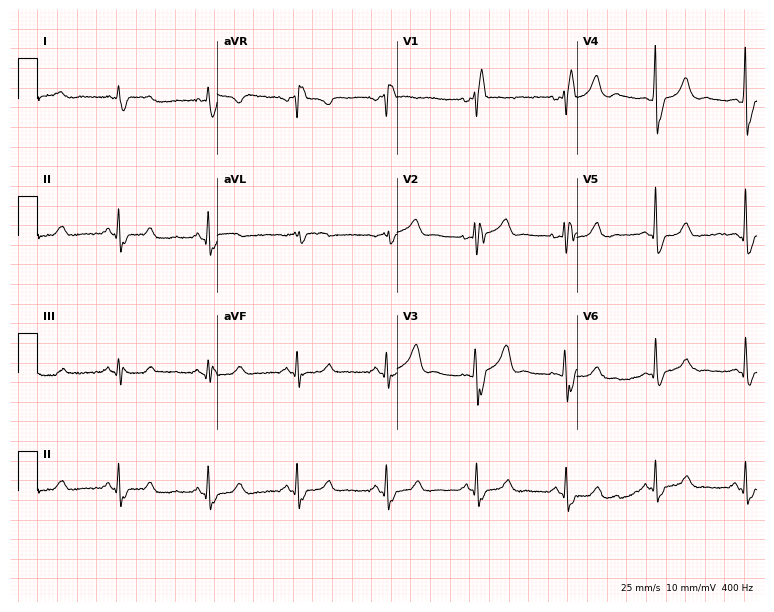
Resting 12-lead electrocardiogram (7.3-second recording at 400 Hz). Patient: a male, 49 years old. The tracing shows right bundle branch block.